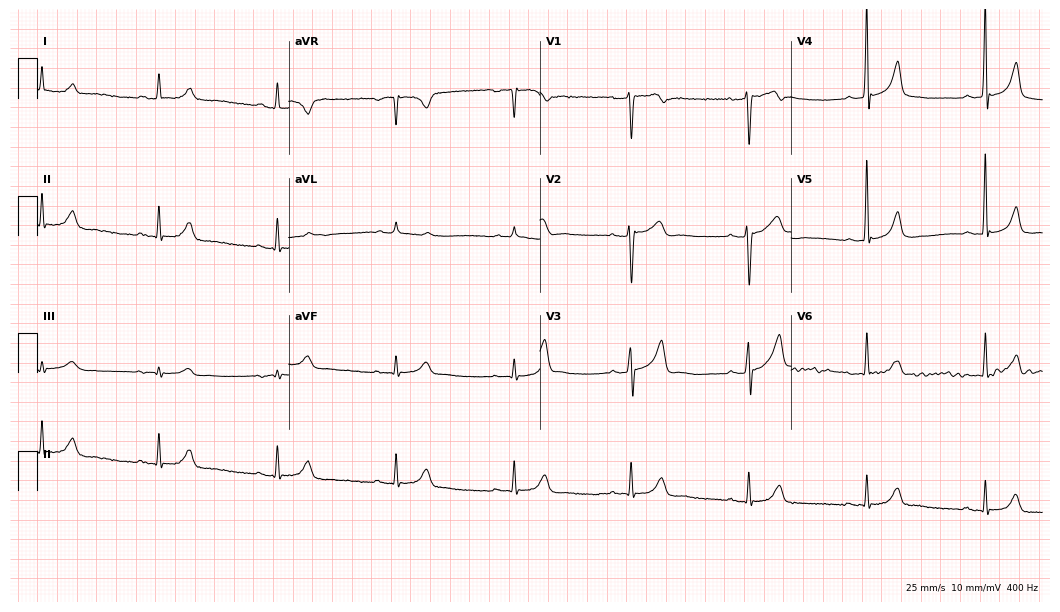
Electrocardiogram, a male patient, 61 years old. Overall reading on record: normal ECG.